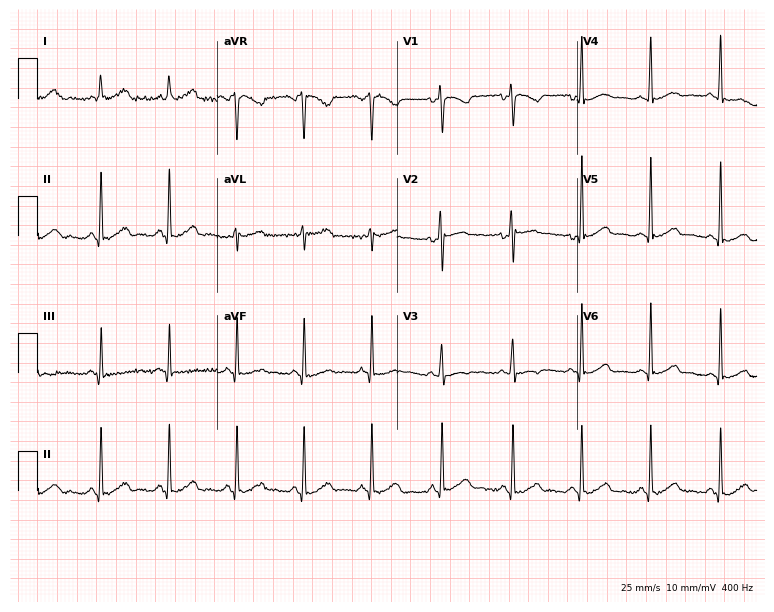
Standard 12-lead ECG recorded from a 25-year-old female patient. Read as a normal ECG.